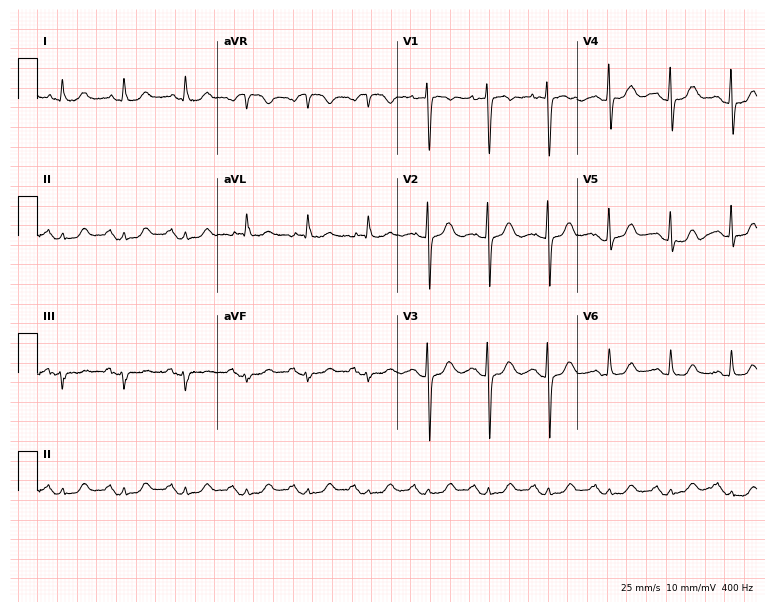
ECG (7.3-second recording at 400 Hz) — a woman, 78 years old. Screened for six findings — first-degree AV block, right bundle branch block, left bundle branch block, sinus bradycardia, atrial fibrillation, sinus tachycardia — none is recorded. Findings outside these six are not listed.